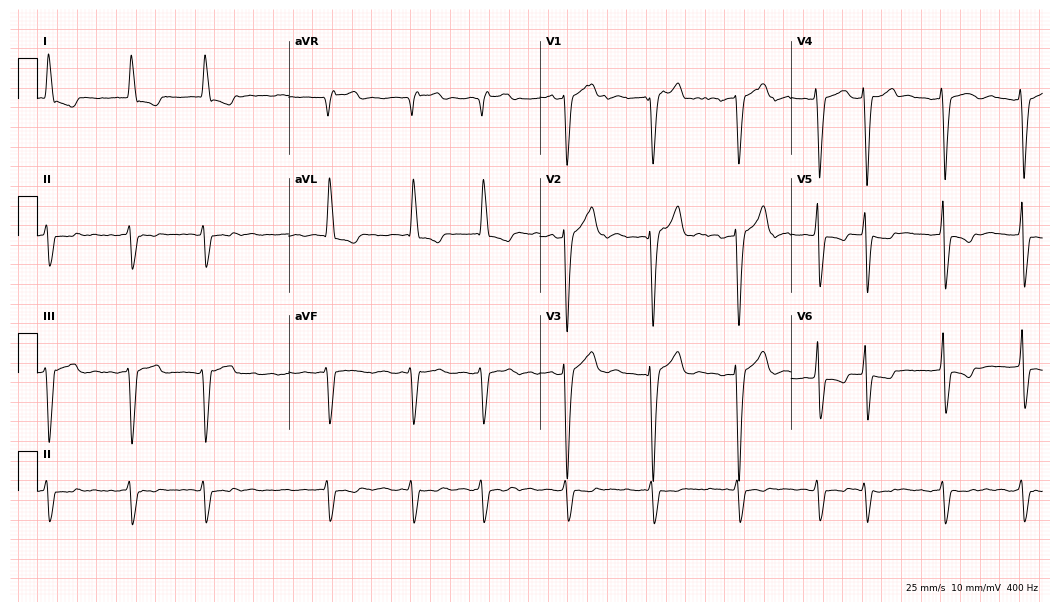
12-lead ECG from a 78-year-old female. Shows left bundle branch block, atrial fibrillation.